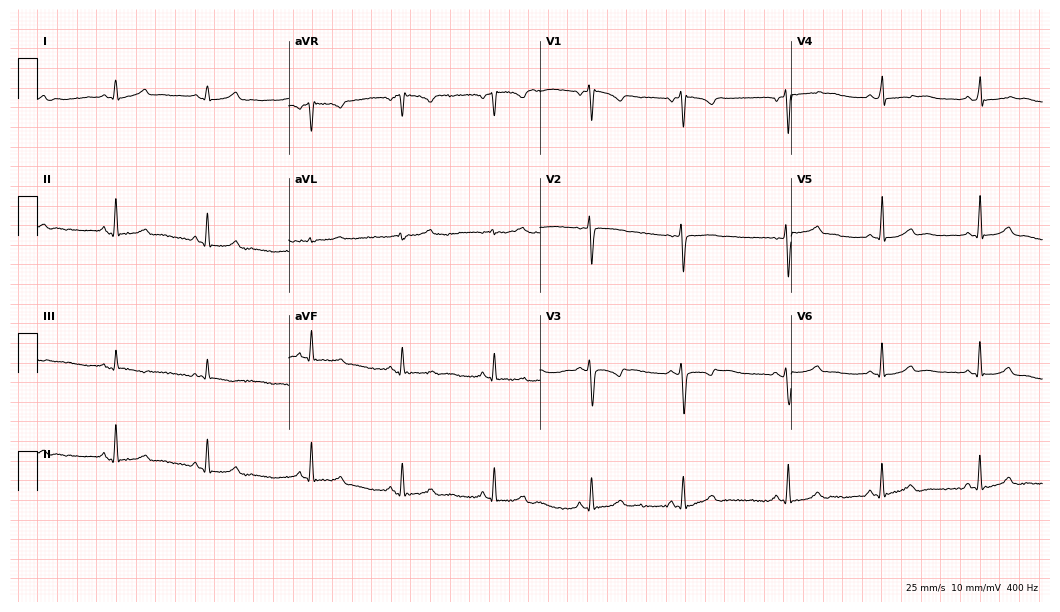
Standard 12-lead ECG recorded from a woman, 20 years old (10.2-second recording at 400 Hz). Read as a normal ECG.